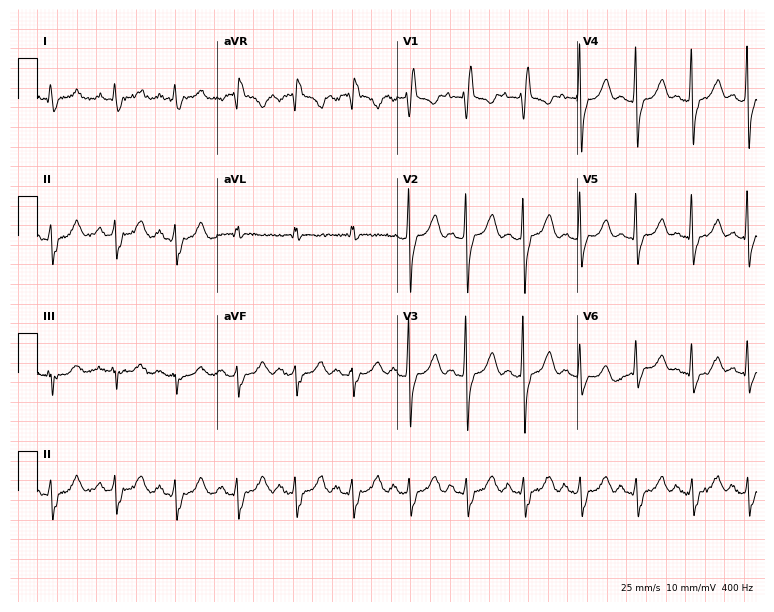
12-lead ECG from a woman, 45 years old. Shows right bundle branch block (RBBB).